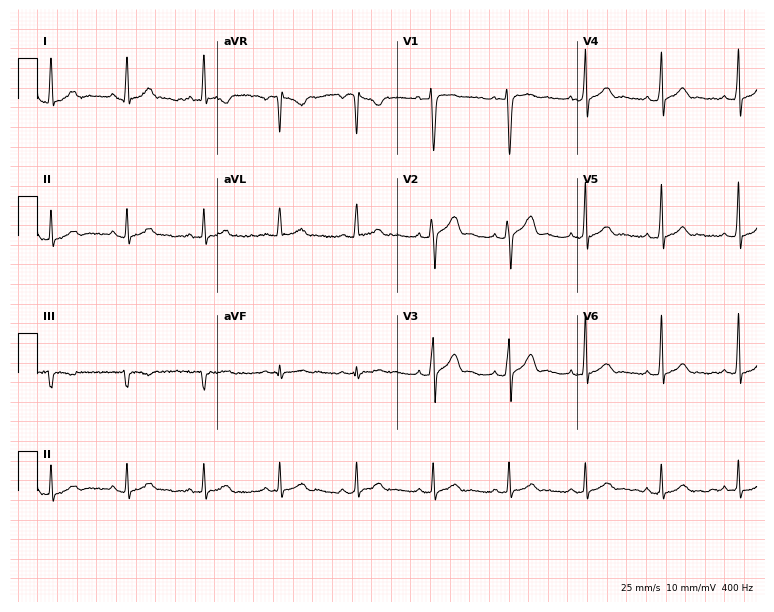
Resting 12-lead electrocardiogram (7.3-second recording at 400 Hz). Patient: a man, 31 years old. Read as a normal ECG.